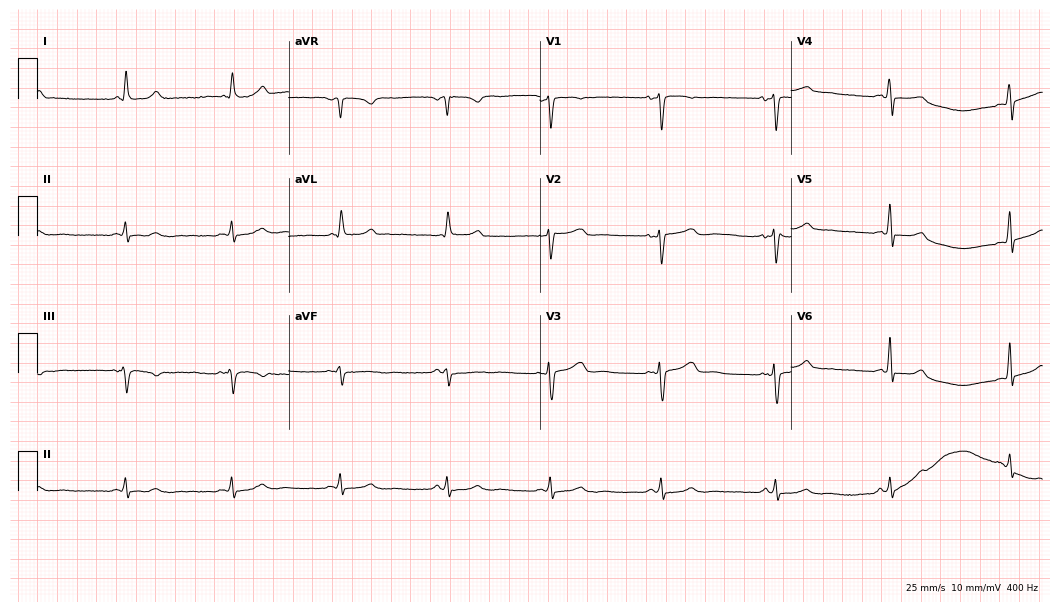
12-lead ECG from a woman, 40 years old. No first-degree AV block, right bundle branch block (RBBB), left bundle branch block (LBBB), sinus bradycardia, atrial fibrillation (AF) or sinus tachycardia recorded for this tracing. Other findings, if any, are not listed.